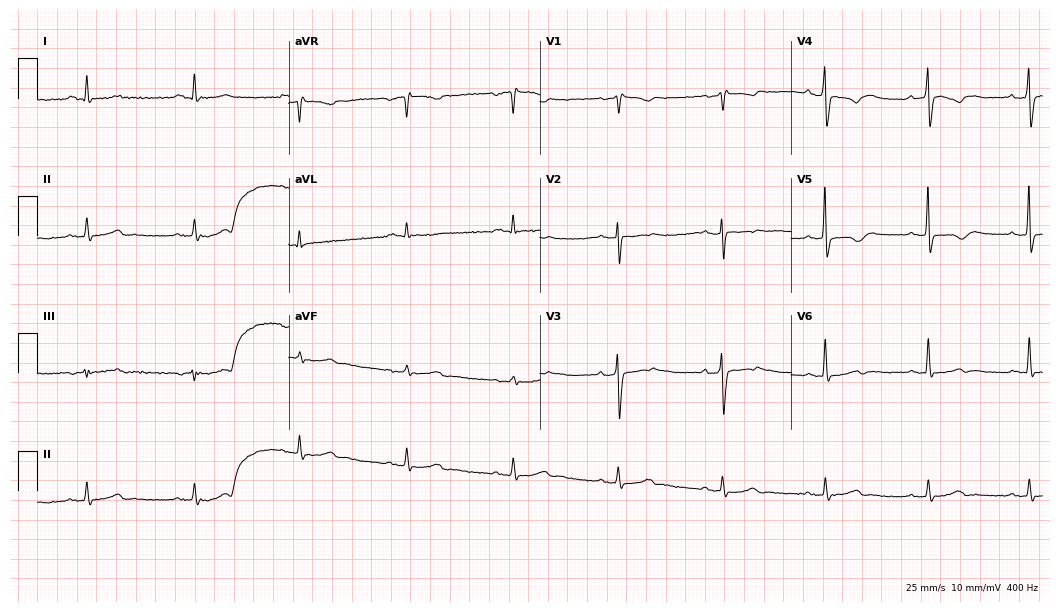
Resting 12-lead electrocardiogram (10.2-second recording at 400 Hz). Patient: a male, 77 years old. None of these six findings is recorded: first-degree AV block, right bundle branch block, left bundle branch block, sinus bradycardia, atrial fibrillation, sinus tachycardia. Other findings, if any, are not listed.